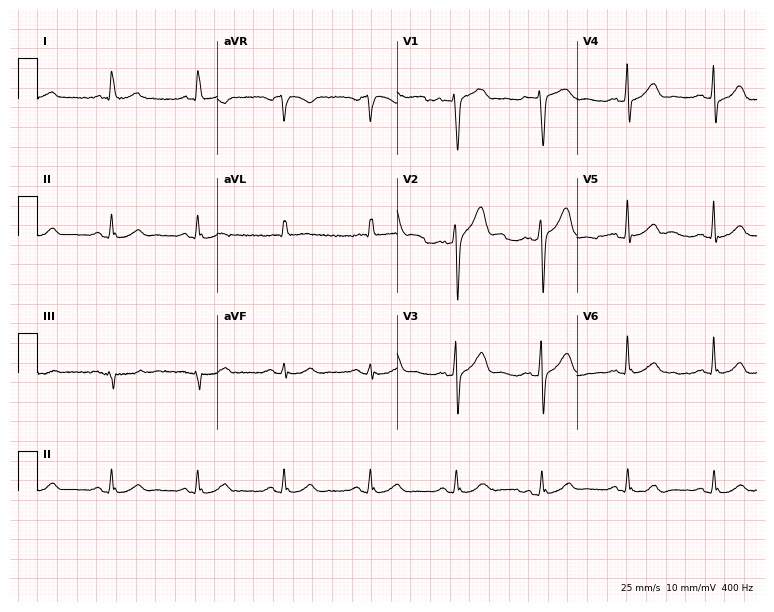
12-lead ECG from a 60-year-old man. Recorded interpretation: within normal limits.